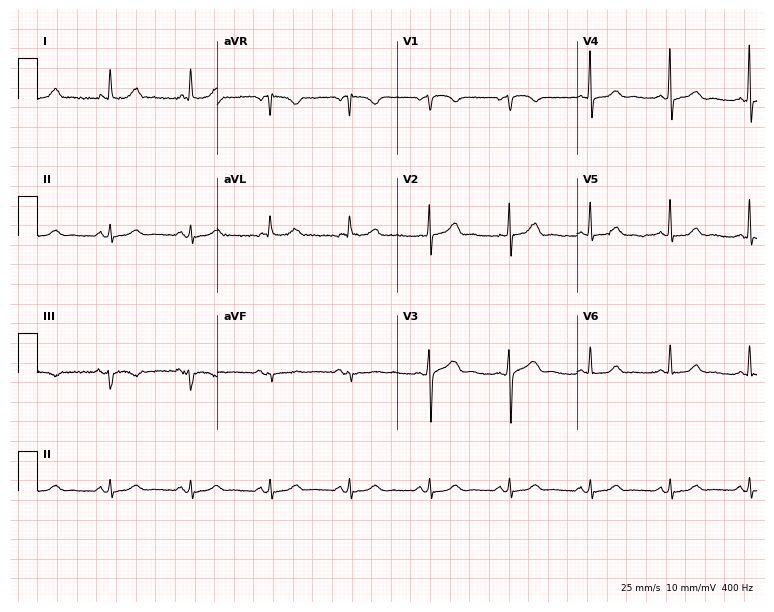
Standard 12-lead ECG recorded from a 73-year-old female. Read as a normal ECG.